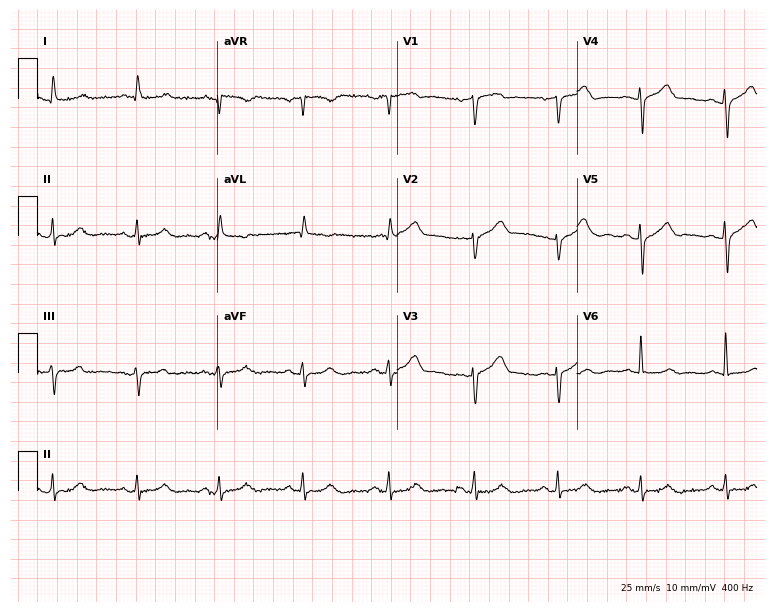
Resting 12-lead electrocardiogram. Patient: a woman, 78 years old. Read as a normal ECG.